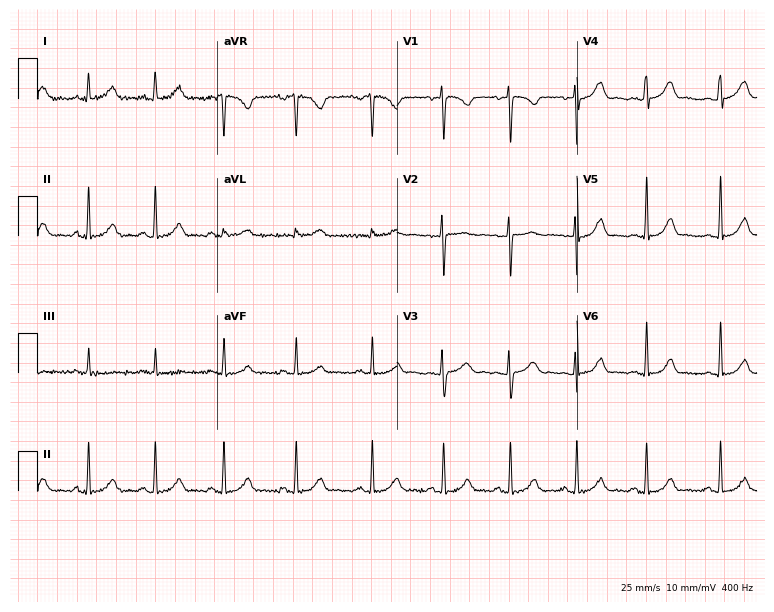
12-lead ECG from a 36-year-old female. No first-degree AV block, right bundle branch block, left bundle branch block, sinus bradycardia, atrial fibrillation or sinus tachycardia recorded for this tracing.